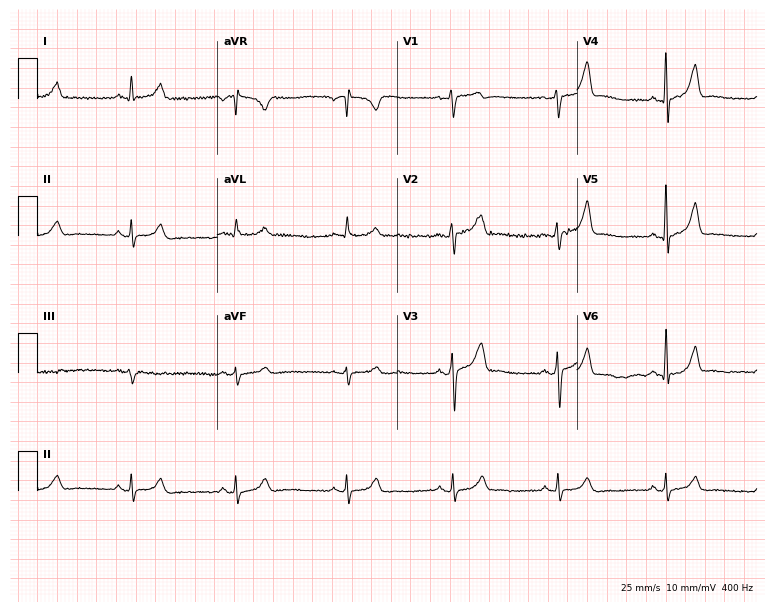
Resting 12-lead electrocardiogram (7.3-second recording at 400 Hz). Patient: a 55-year-old male. None of these six findings is recorded: first-degree AV block, right bundle branch block, left bundle branch block, sinus bradycardia, atrial fibrillation, sinus tachycardia.